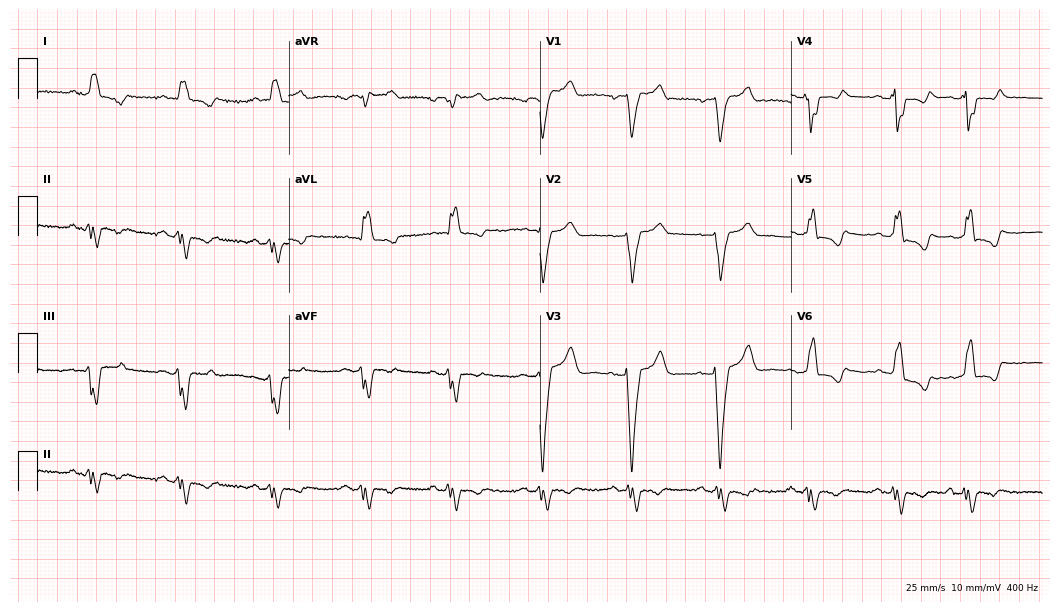
Standard 12-lead ECG recorded from a 72-year-old female patient (10.2-second recording at 400 Hz). The tracing shows left bundle branch block.